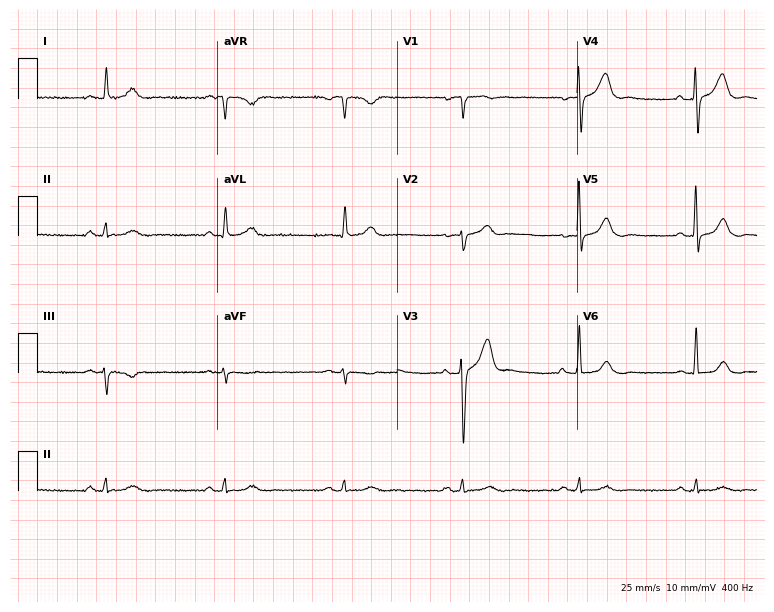
12-lead ECG from a male, 67 years old. No first-degree AV block, right bundle branch block (RBBB), left bundle branch block (LBBB), sinus bradycardia, atrial fibrillation (AF) or sinus tachycardia recorded for this tracing.